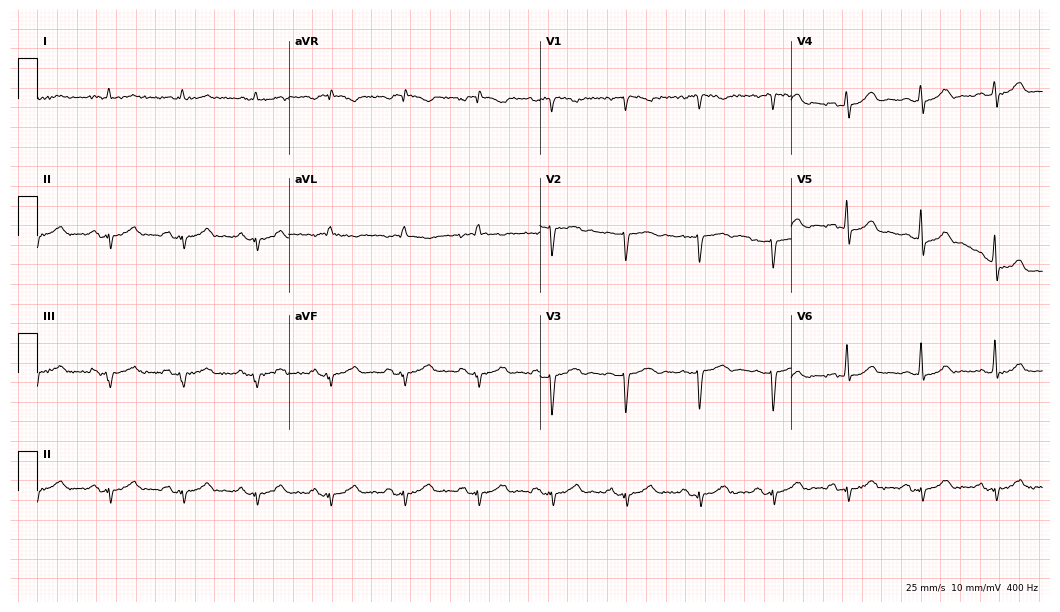
Electrocardiogram (10.2-second recording at 400 Hz), a male, 76 years old. Of the six screened findings (first-degree AV block, right bundle branch block, left bundle branch block, sinus bradycardia, atrial fibrillation, sinus tachycardia), none is recorded. Only these six findings were labelled.